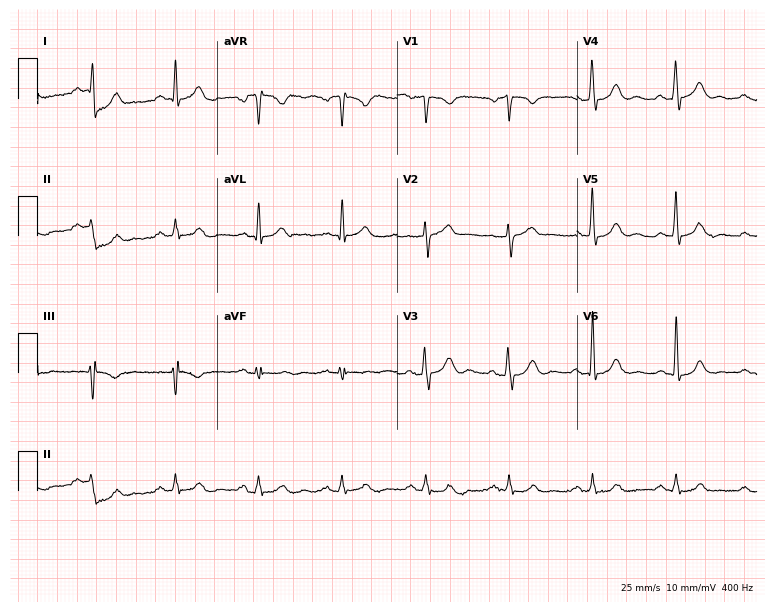
Standard 12-lead ECG recorded from a male patient, 65 years old. Read as a normal ECG.